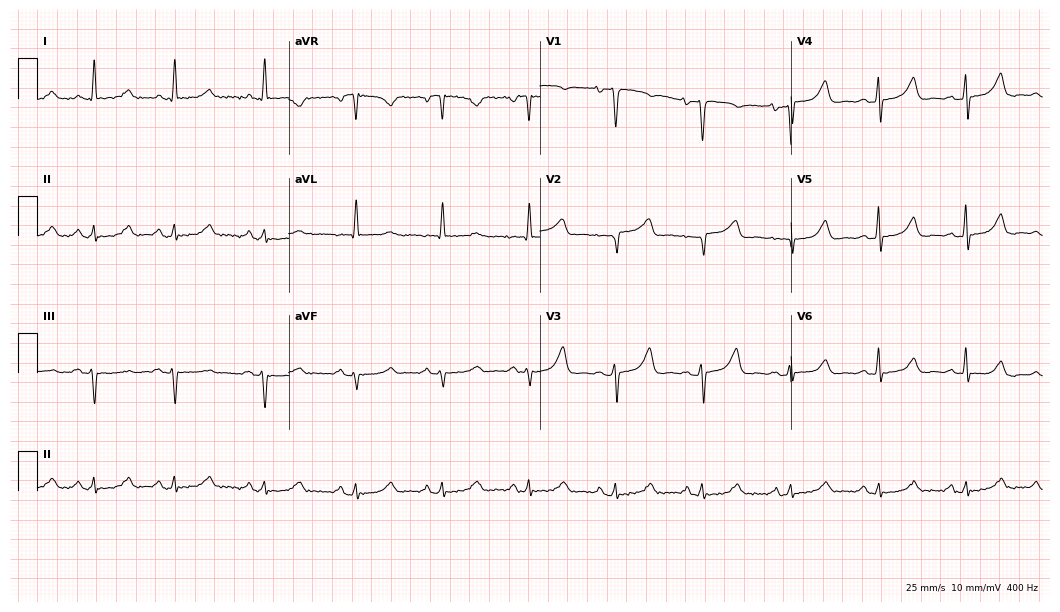
12-lead ECG from a female patient, 62 years old (10.2-second recording at 400 Hz). No first-degree AV block, right bundle branch block, left bundle branch block, sinus bradycardia, atrial fibrillation or sinus tachycardia recorded for this tracing.